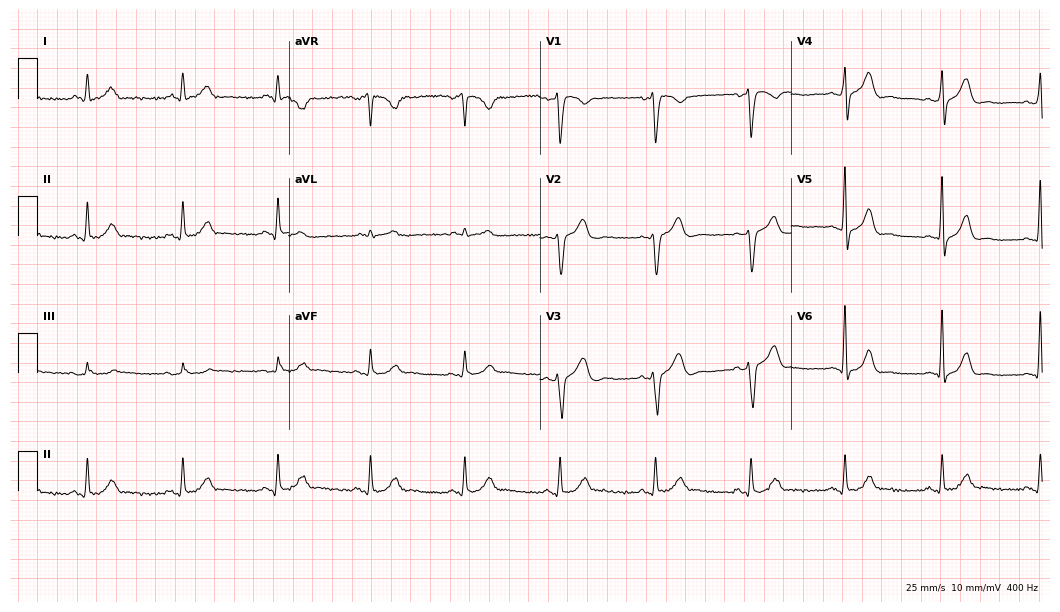
12-lead ECG from a 51-year-old male (10.2-second recording at 400 Hz). Recorded interpretation: within normal limits.